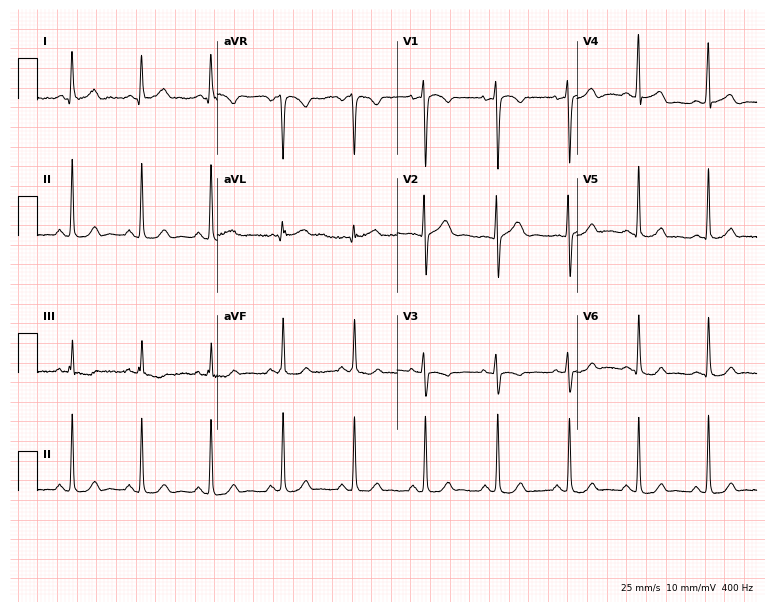
12-lead ECG (7.3-second recording at 400 Hz) from a 23-year-old woman. Labelled as a normal ECG.